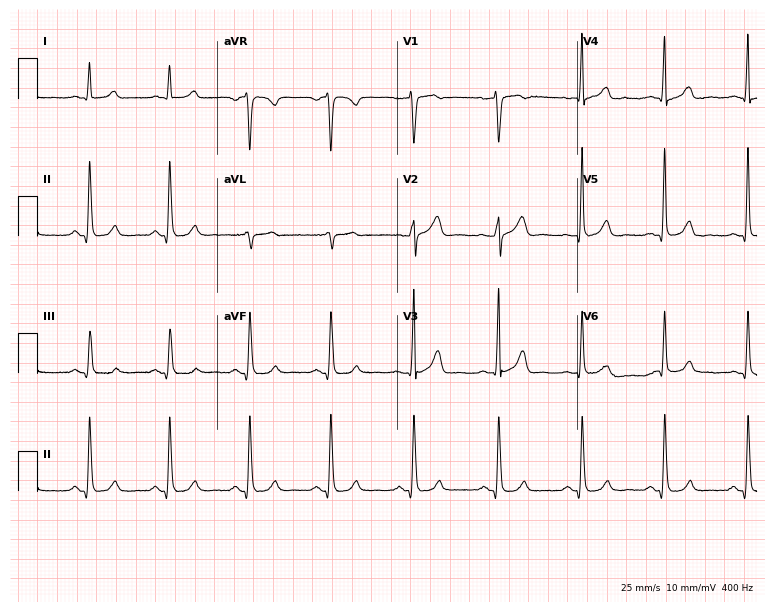
Electrocardiogram, a man, 53 years old. Overall reading on record: normal ECG.